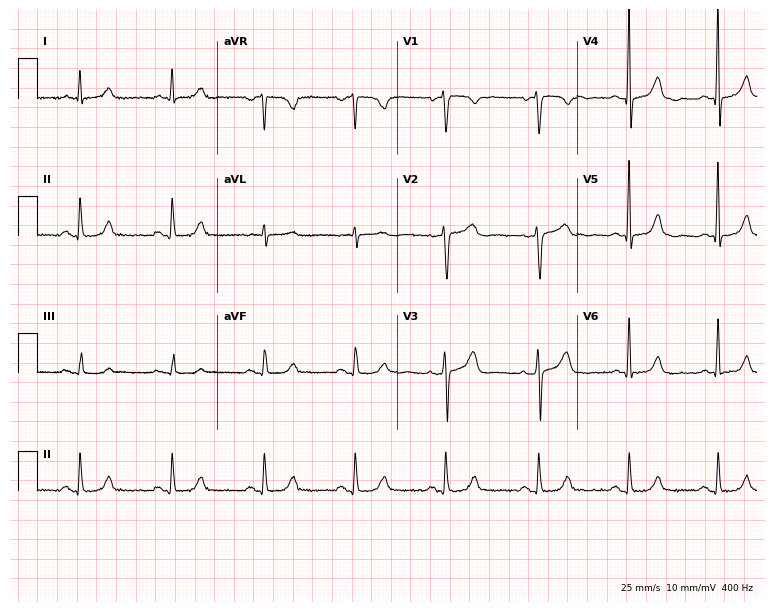
12-lead ECG from a female patient, 68 years old. Recorded interpretation: within normal limits.